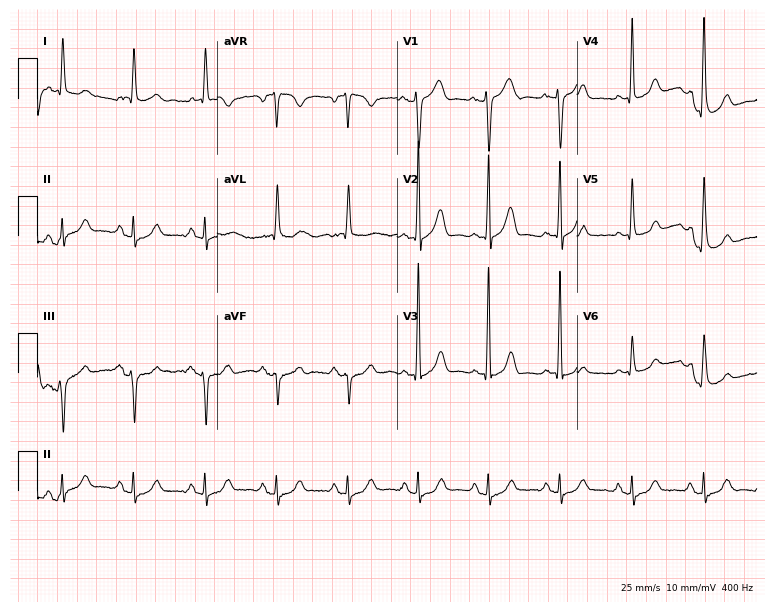
12-lead ECG from a 65-year-old male (7.3-second recording at 400 Hz). Recorded interpretation: within normal limits.